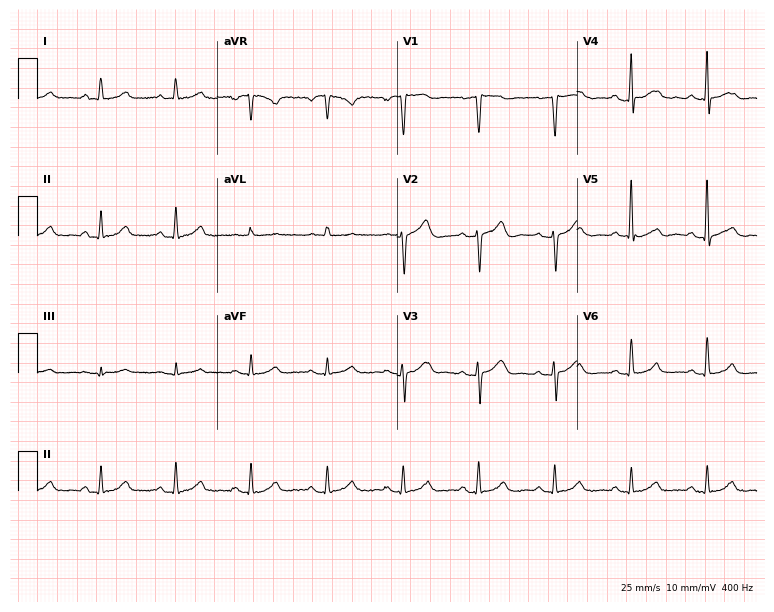
Standard 12-lead ECG recorded from a female, 79 years old. Read as a normal ECG.